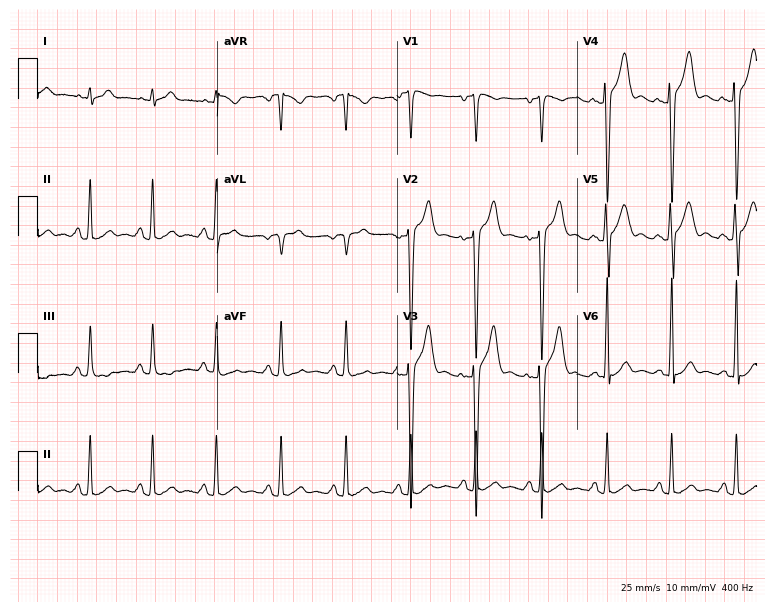
Resting 12-lead electrocardiogram. Patient: a 24-year-old male. Read as a normal ECG.